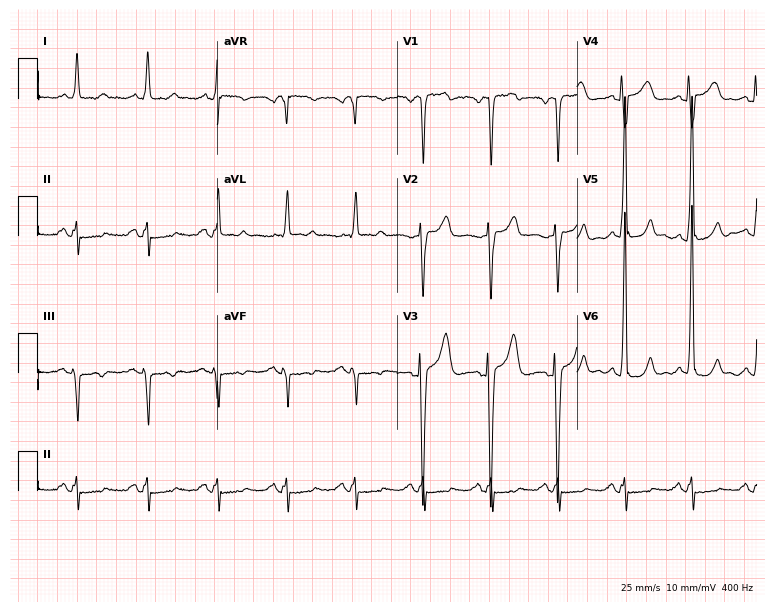
Standard 12-lead ECG recorded from a male, 76 years old (7.3-second recording at 400 Hz). None of these six findings is recorded: first-degree AV block, right bundle branch block (RBBB), left bundle branch block (LBBB), sinus bradycardia, atrial fibrillation (AF), sinus tachycardia.